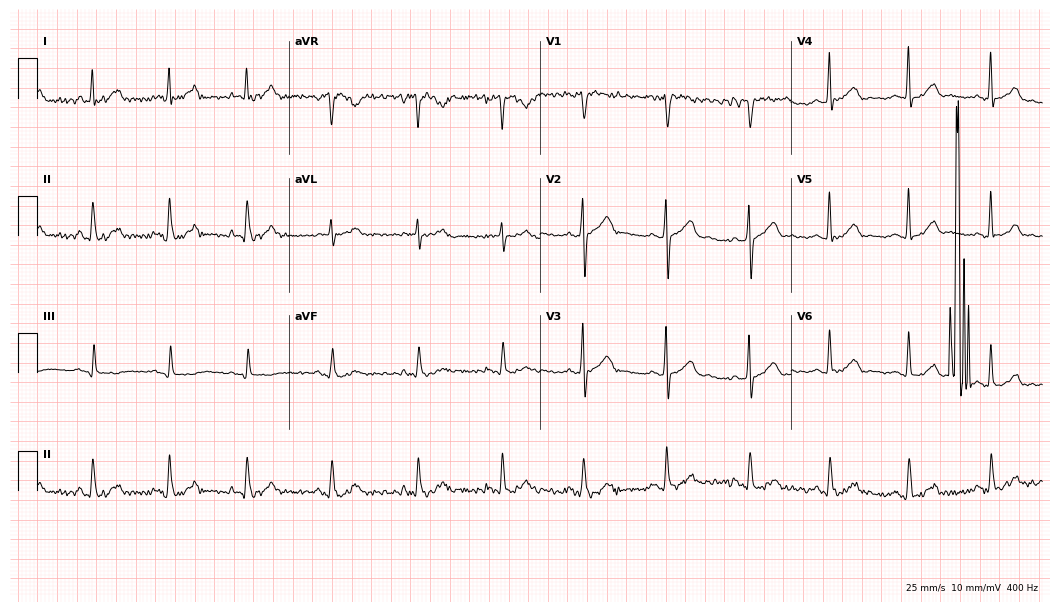
12-lead ECG from a 54-year-old man. Recorded interpretation: within normal limits.